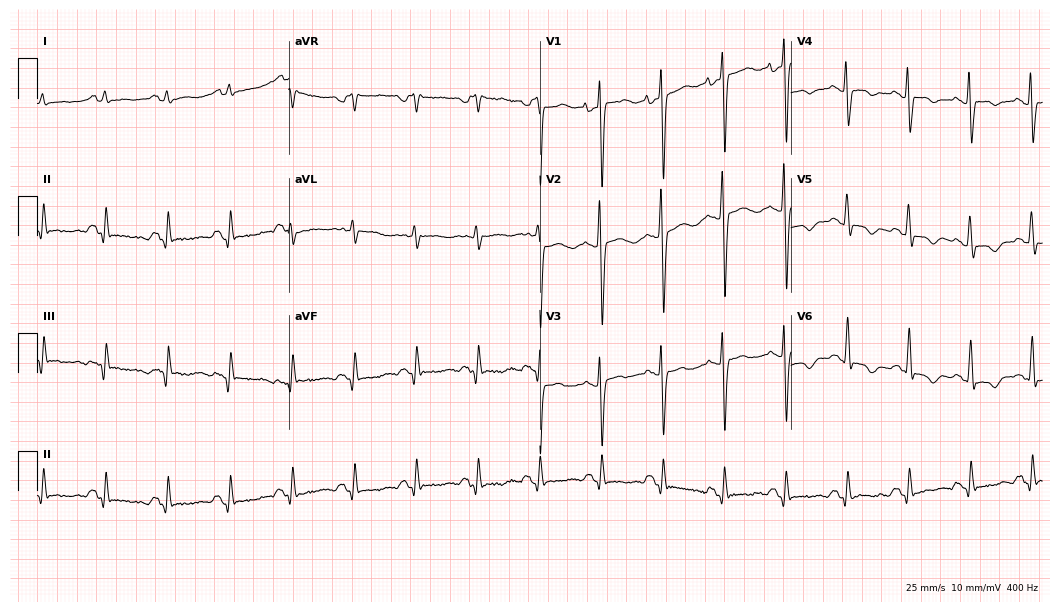
Resting 12-lead electrocardiogram. Patient: a 25-year-old male. None of these six findings is recorded: first-degree AV block, right bundle branch block, left bundle branch block, sinus bradycardia, atrial fibrillation, sinus tachycardia.